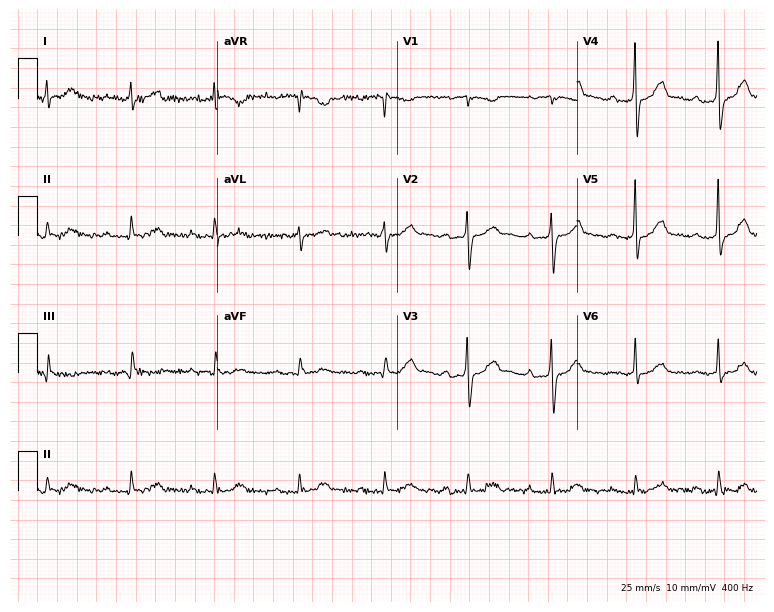
12-lead ECG from an 80-year-old male. Screened for six findings — first-degree AV block, right bundle branch block, left bundle branch block, sinus bradycardia, atrial fibrillation, sinus tachycardia — none is recorded.